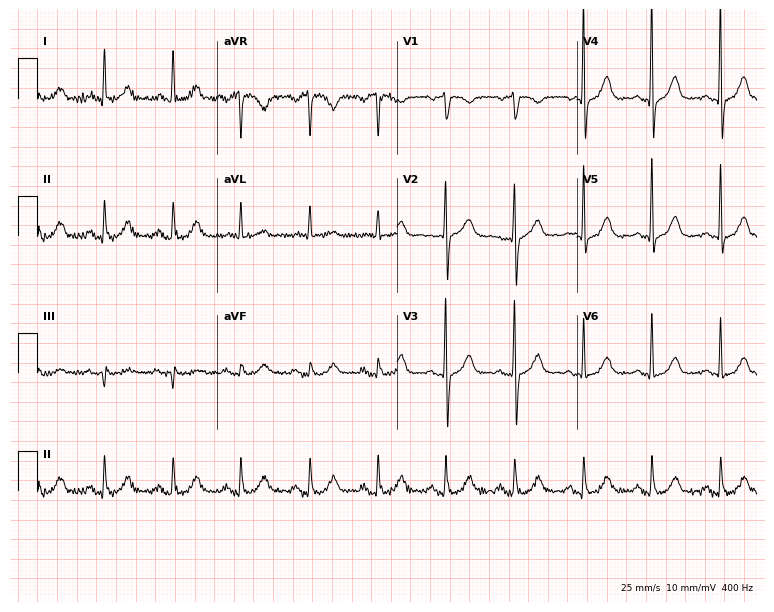
Electrocardiogram (7.3-second recording at 400 Hz), a female, 64 years old. Overall reading on record: normal ECG.